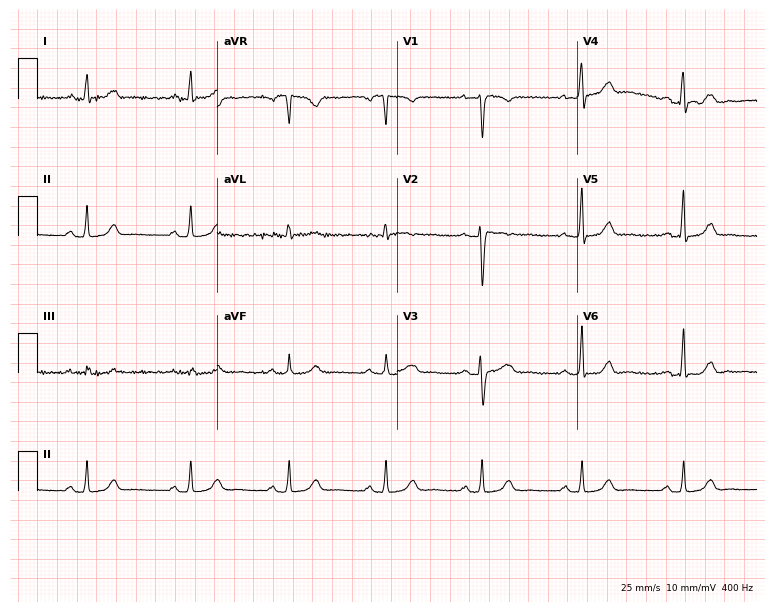
Standard 12-lead ECG recorded from a 35-year-old female (7.3-second recording at 400 Hz). Read as a normal ECG.